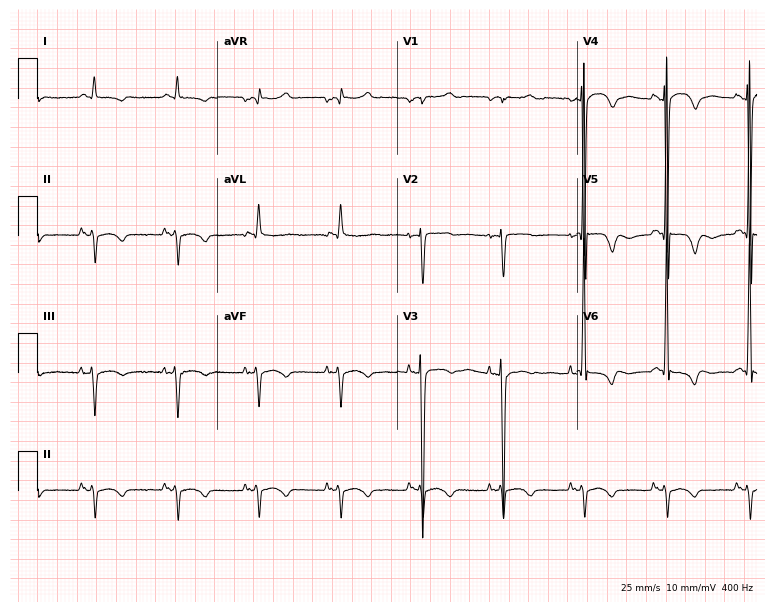
ECG — a male, 81 years old. Screened for six findings — first-degree AV block, right bundle branch block (RBBB), left bundle branch block (LBBB), sinus bradycardia, atrial fibrillation (AF), sinus tachycardia — none is recorded.